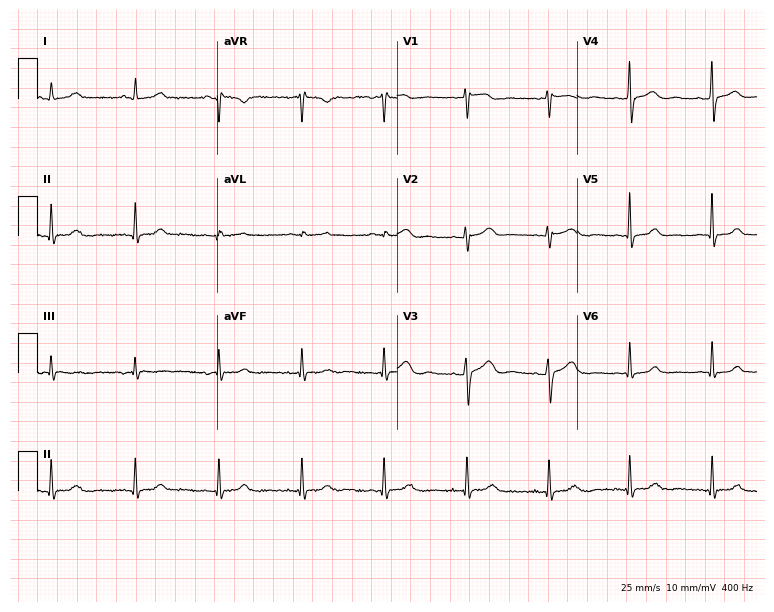
ECG — a 52-year-old female. Labelled as a normal ECG.